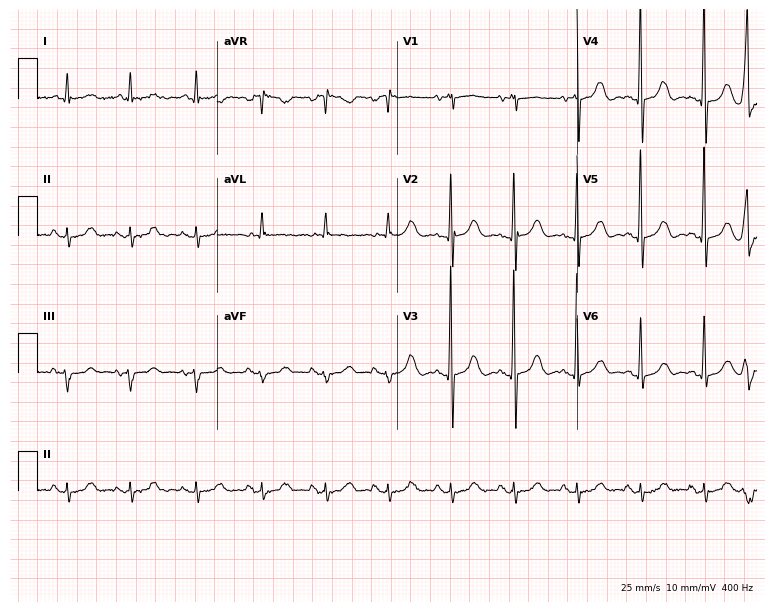
Standard 12-lead ECG recorded from a 77-year-old woman. None of these six findings is recorded: first-degree AV block, right bundle branch block, left bundle branch block, sinus bradycardia, atrial fibrillation, sinus tachycardia.